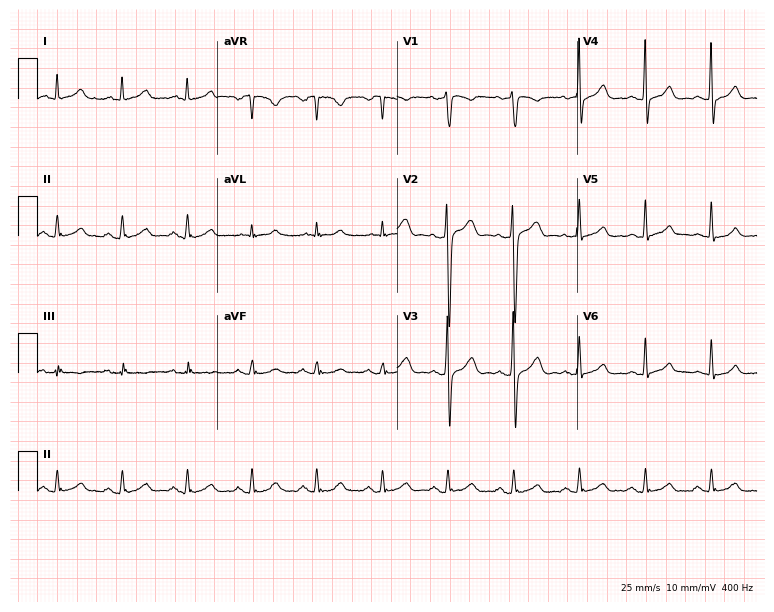
12-lead ECG (7.3-second recording at 400 Hz) from a man, 50 years old. Labelled as a normal ECG.